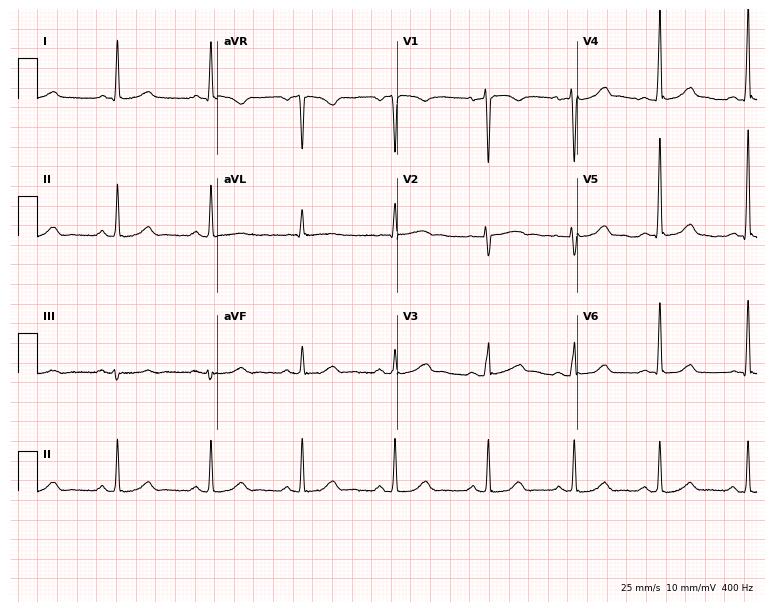
12-lead ECG from a female patient, 52 years old. Recorded interpretation: within normal limits.